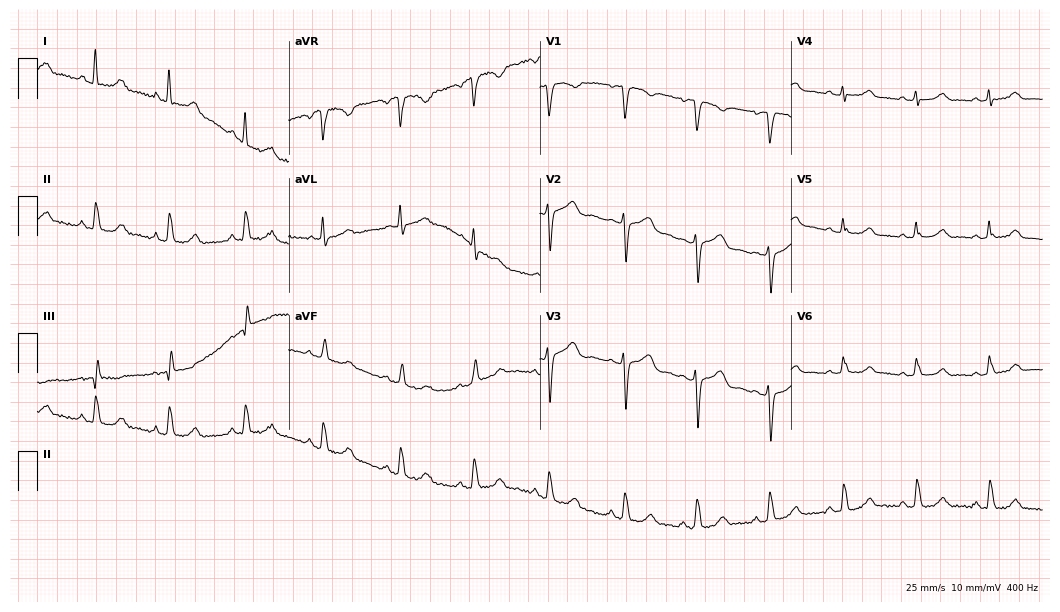
12-lead ECG (10.2-second recording at 400 Hz) from a 46-year-old female. Labelled as a normal ECG.